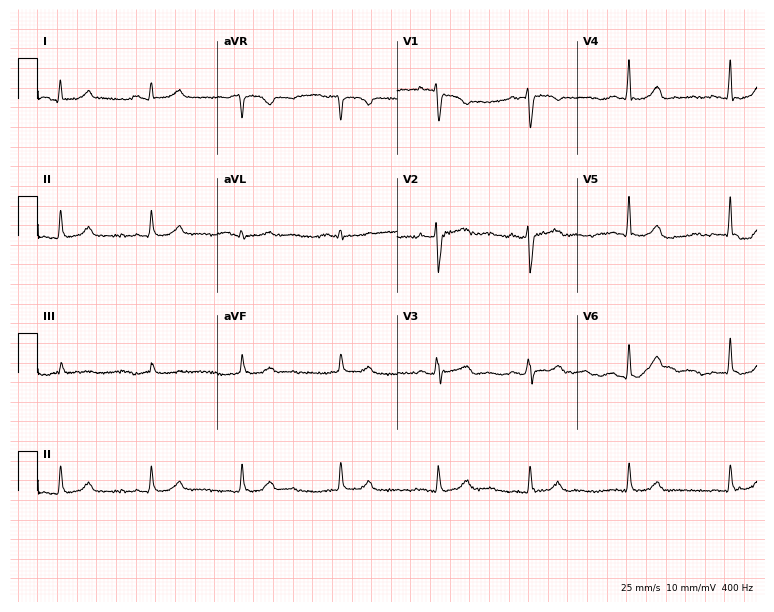
Electrocardiogram (7.3-second recording at 400 Hz), a woman, 41 years old. Of the six screened findings (first-degree AV block, right bundle branch block, left bundle branch block, sinus bradycardia, atrial fibrillation, sinus tachycardia), none is recorded. Findings outside these six are not listed.